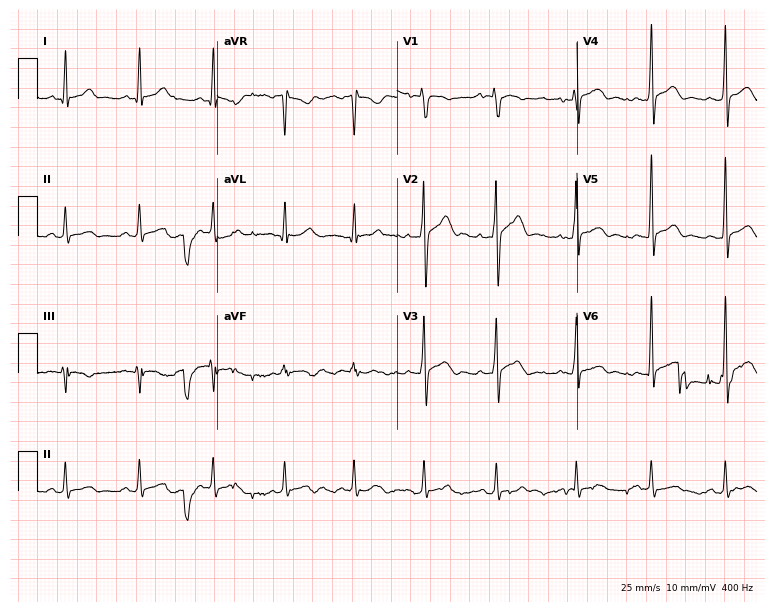
Resting 12-lead electrocardiogram. Patient: a 32-year-old male. Read as a normal ECG.